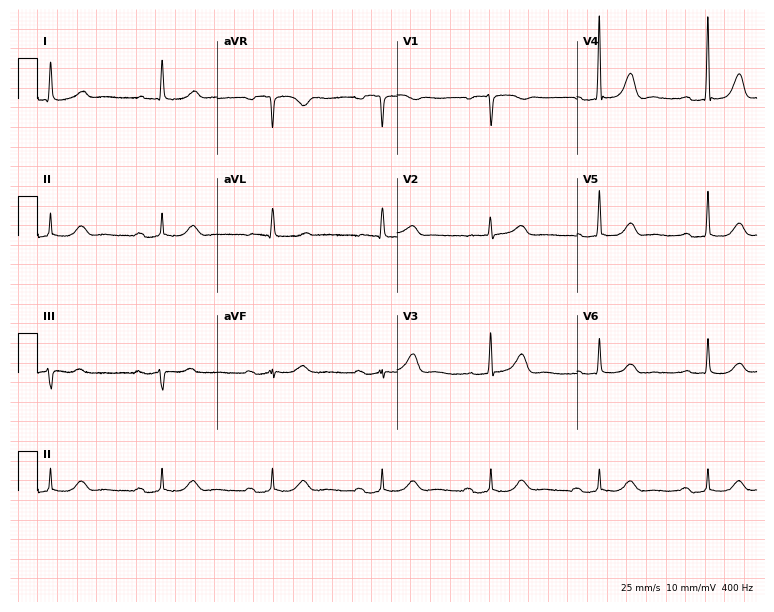
ECG — a 69-year-old female. Screened for six findings — first-degree AV block, right bundle branch block (RBBB), left bundle branch block (LBBB), sinus bradycardia, atrial fibrillation (AF), sinus tachycardia — none is recorded. Findings outside these six are not listed.